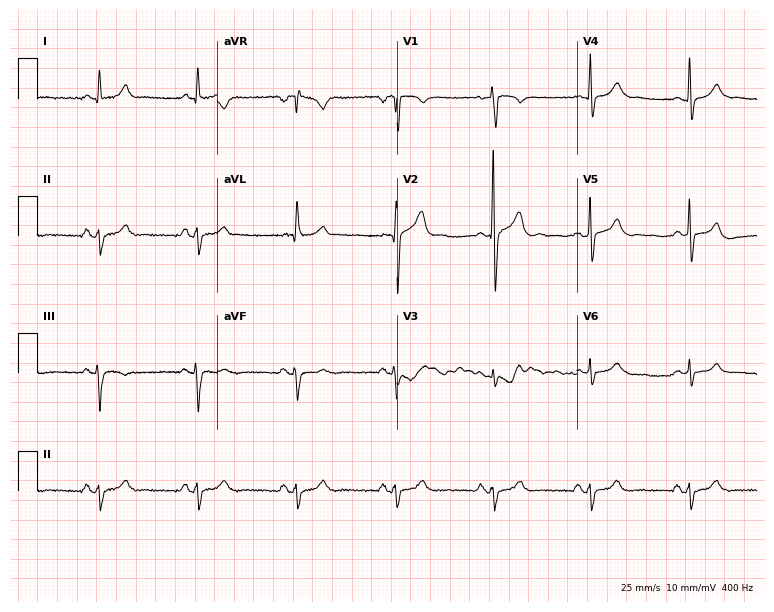
Standard 12-lead ECG recorded from a 55-year-old male. None of these six findings is recorded: first-degree AV block, right bundle branch block (RBBB), left bundle branch block (LBBB), sinus bradycardia, atrial fibrillation (AF), sinus tachycardia.